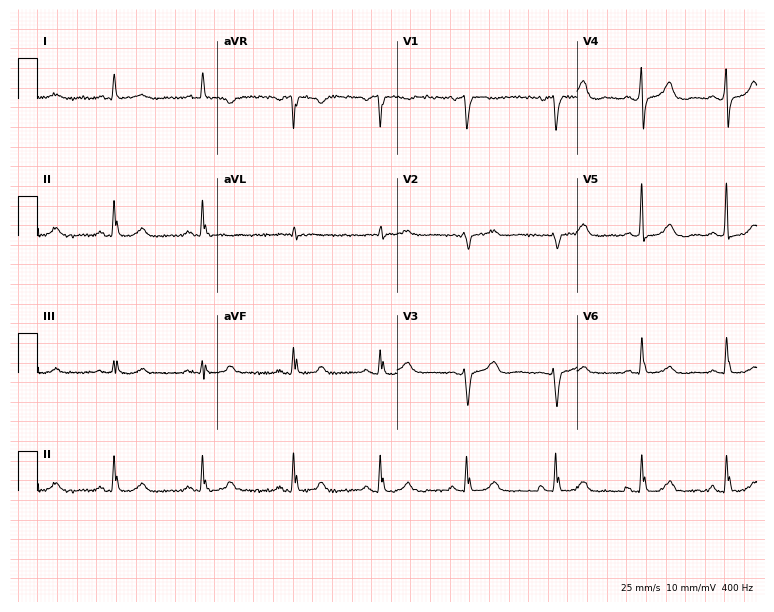
12-lead ECG from a 64-year-old woman (7.3-second recording at 400 Hz). Recorded interpretation: within normal limits.